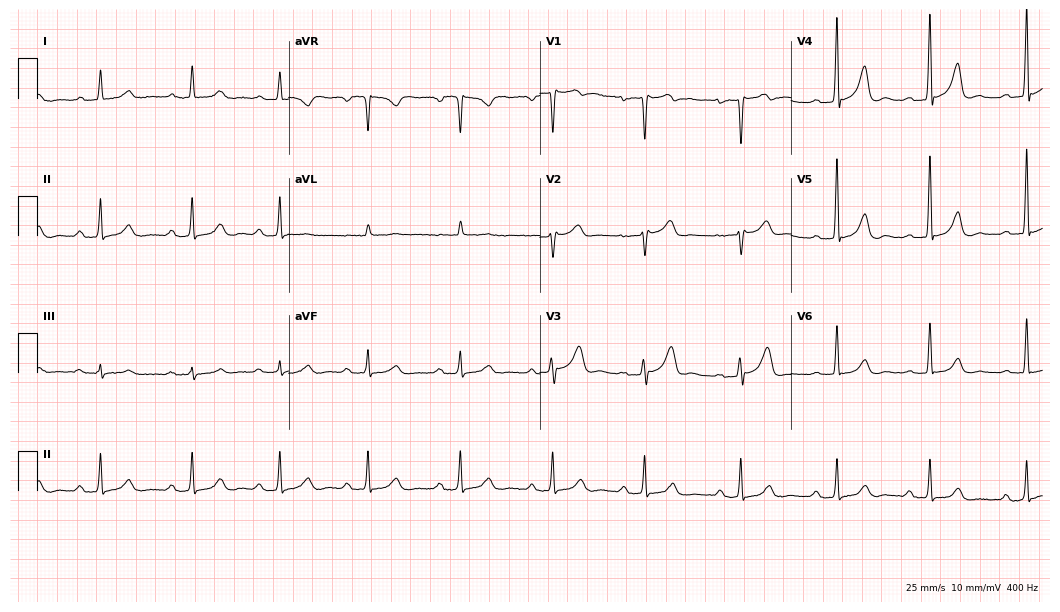
Standard 12-lead ECG recorded from a 52-year-old male (10.2-second recording at 400 Hz). None of these six findings is recorded: first-degree AV block, right bundle branch block, left bundle branch block, sinus bradycardia, atrial fibrillation, sinus tachycardia.